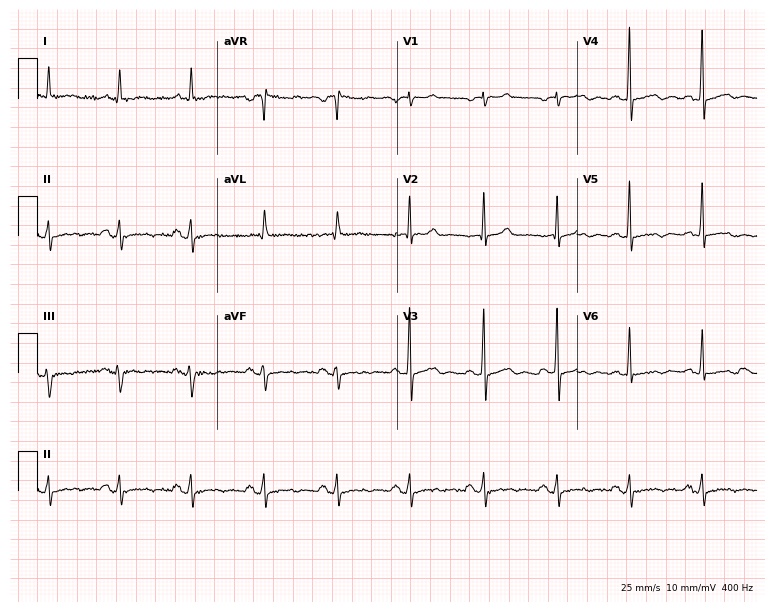
Resting 12-lead electrocardiogram. Patient: a male, 68 years old. Read as a normal ECG.